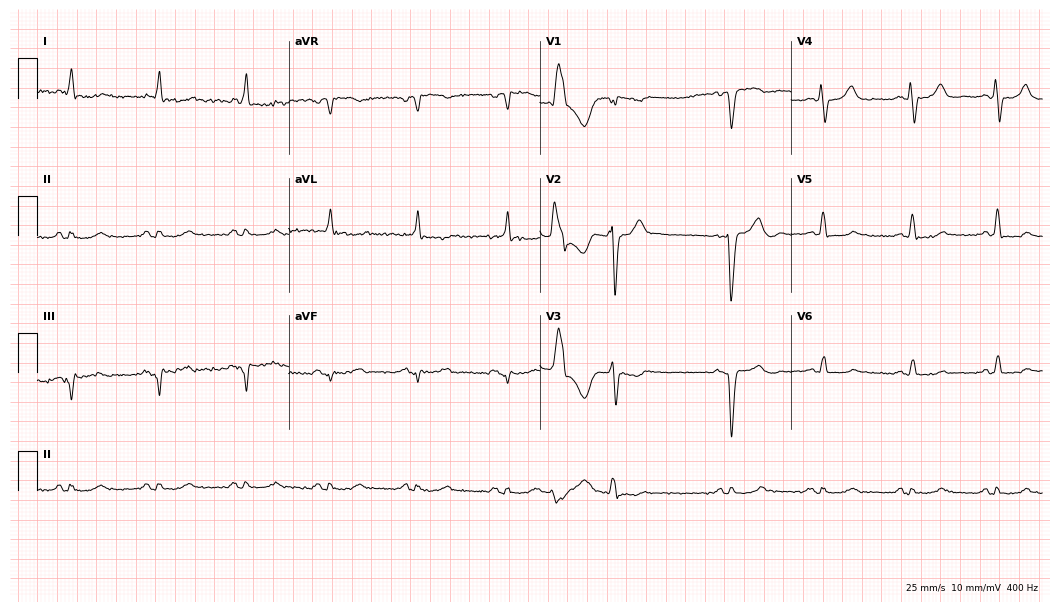
Standard 12-lead ECG recorded from a 64-year-old male. None of these six findings is recorded: first-degree AV block, right bundle branch block (RBBB), left bundle branch block (LBBB), sinus bradycardia, atrial fibrillation (AF), sinus tachycardia. Findings outside these six are not listed.